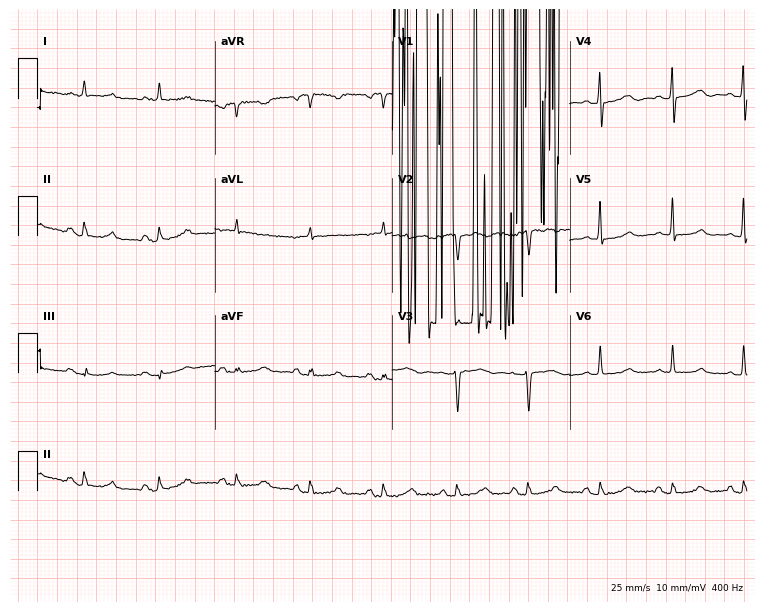
12-lead ECG (7.2-second recording at 400 Hz) from a female patient, 59 years old. Screened for six findings — first-degree AV block, right bundle branch block, left bundle branch block, sinus bradycardia, atrial fibrillation, sinus tachycardia — none is recorded. Other findings, if any, are not listed.